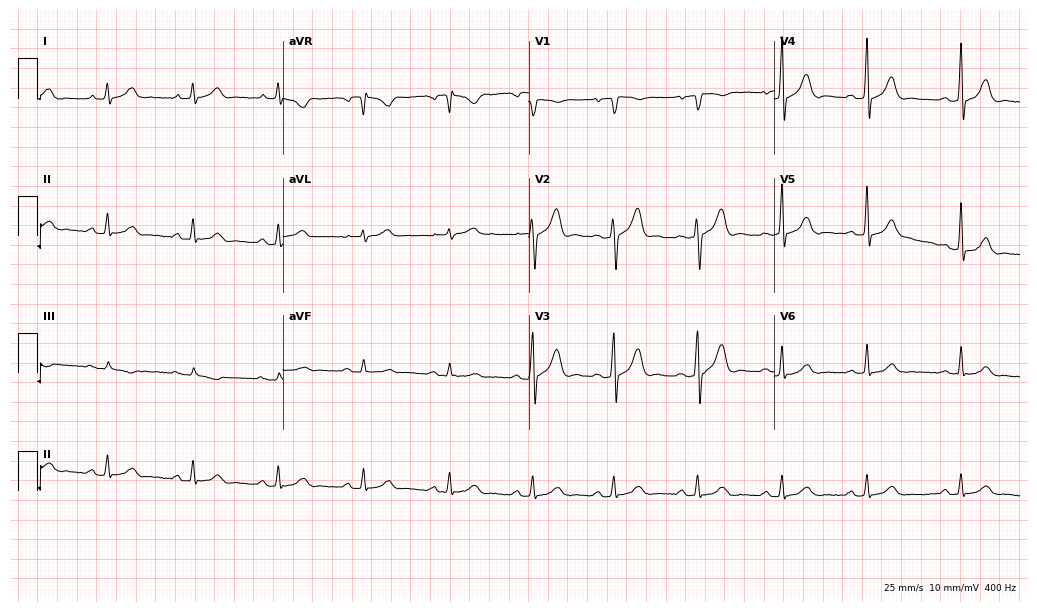
ECG (10-second recording at 400 Hz) — a male patient, 80 years old. Labelled as a normal ECG.